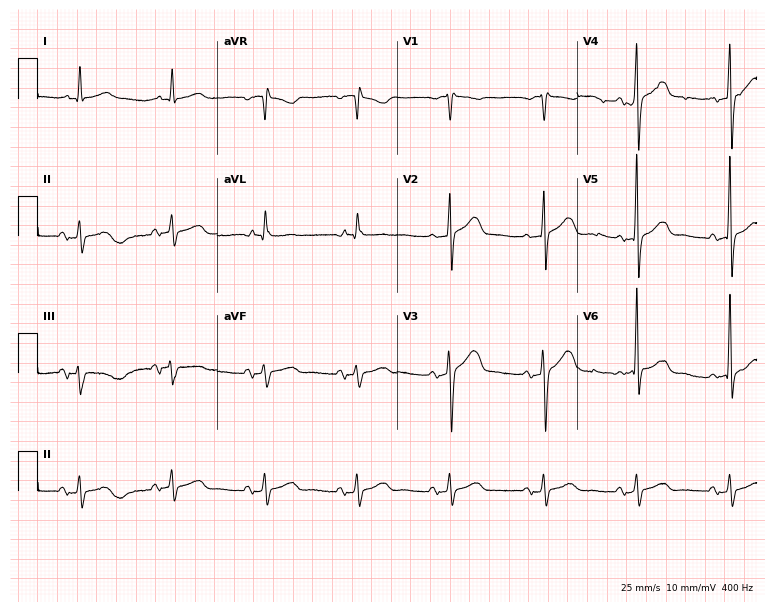
Resting 12-lead electrocardiogram. Patient: a man, 74 years old. None of these six findings is recorded: first-degree AV block, right bundle branch block (RBBB), left bundle branch block (LBBB), sinus bradycardia, atrial fibrillation (AF), sinus tachycardia.